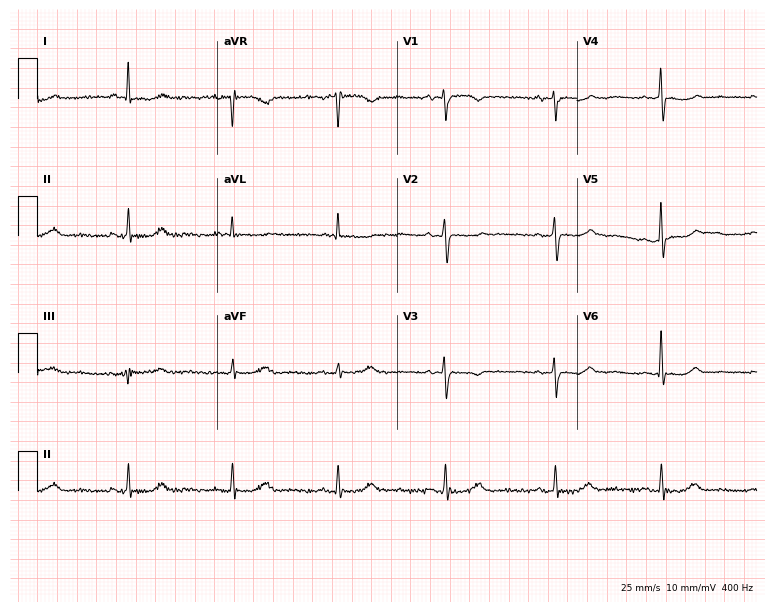
12-lead ECG from a 74-year-old woman (7.3-second recording at 400 Hz). No first-degree AV block, right bundle branch block, left bundle branch block, sinus bradycardia, atrial fibrillation or sinus tachycardia recorded for this tracing. Only these six findings were labelled.